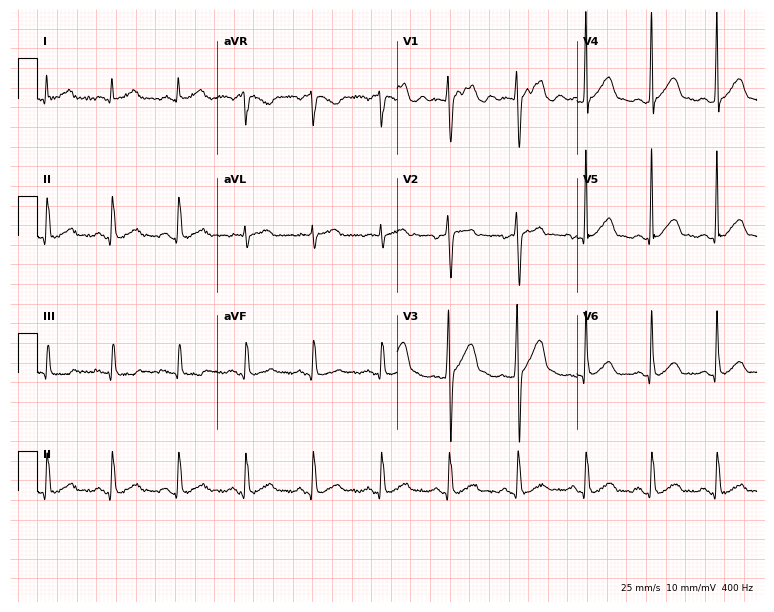
12-lead ECG from a male patient, 23 years old. Labelled as a normal ECG.